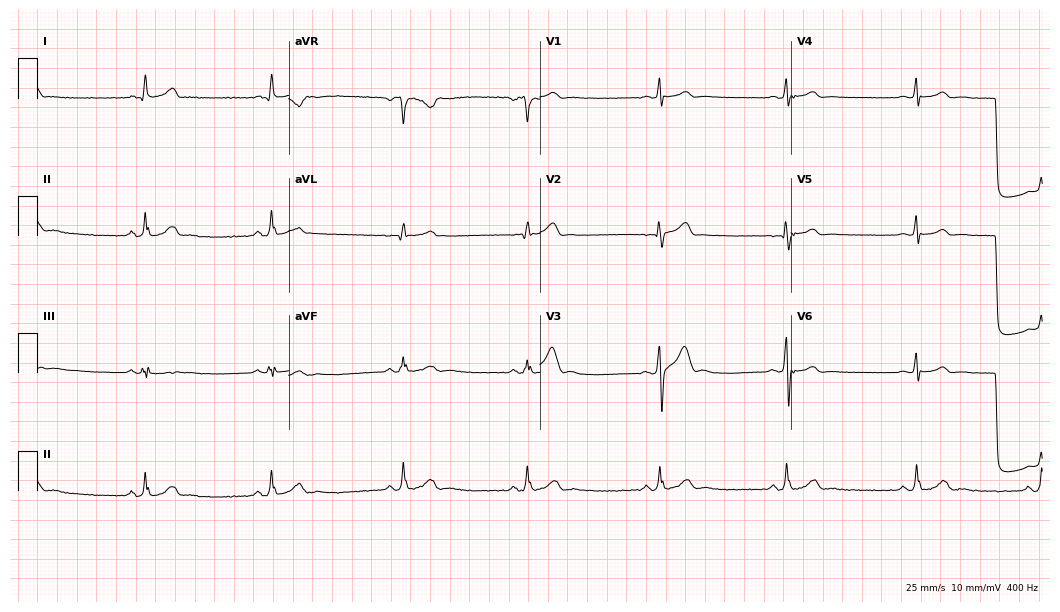
Resting 12-lead electrocardiogram. Patient: a male, 22 years old. The tracing shows sinus bradycardia (a sinus rate of 50 beats per minute or less).